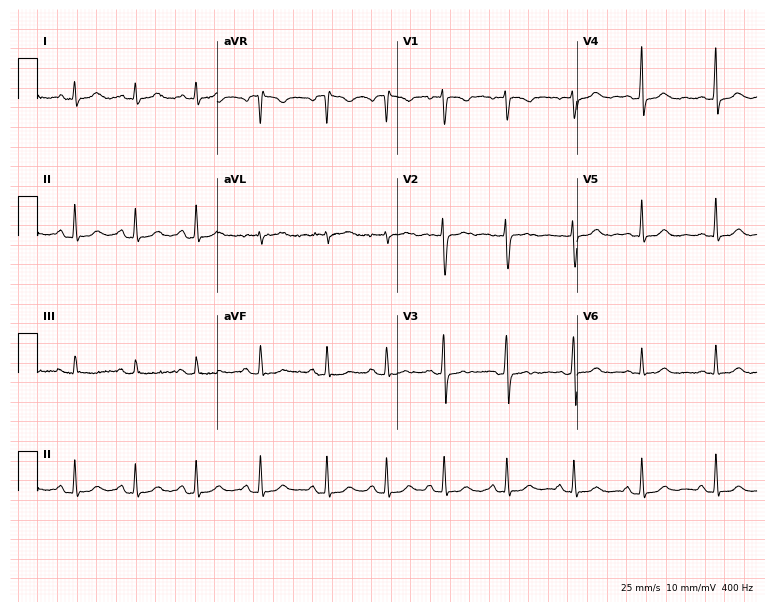
Resting 12-lead electrocardiogram. Patient: a 26-year-old female. Read as a normal ECG.